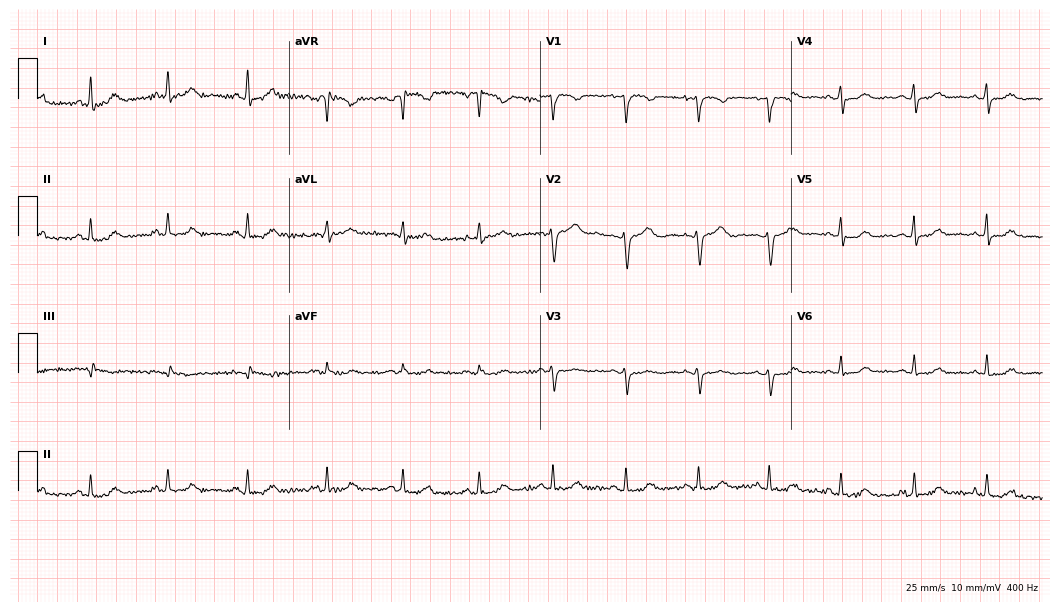
12-lead ECG (10.2-second recording at 400 Hz) from a woman, 45 years old. Labelled as a normal ECG.